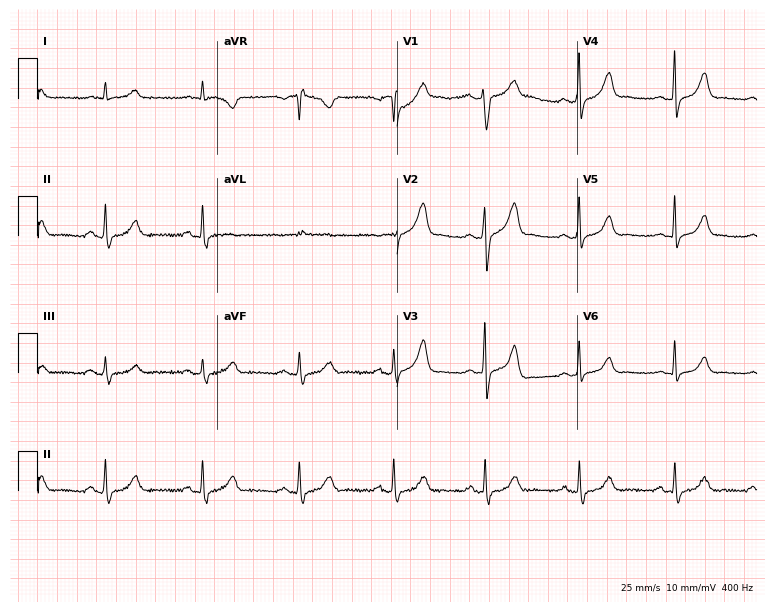
12-lead ECG from a male, 60 years old (7.3-second recording at 400 Hz). No first-degree AV block, right bundle branch block (RBBB), left bundle branch block (LBBB), sinus bradycardia, atrial fibrillation (AF) or sinus tachycardia recorded for this tracing.